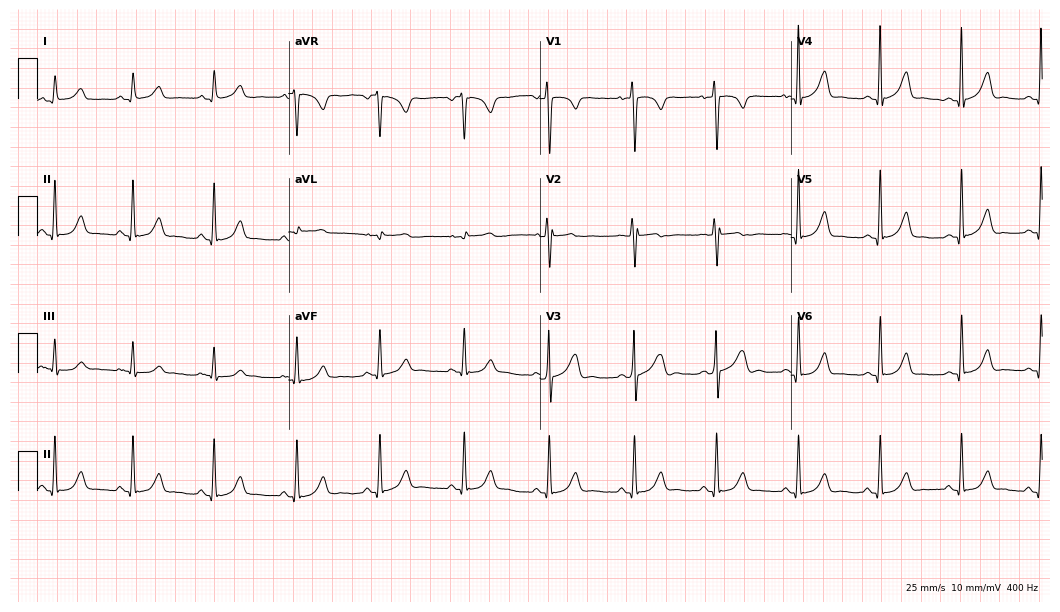
ECG — a 38-year-old female. Labelled as a normal ECG.